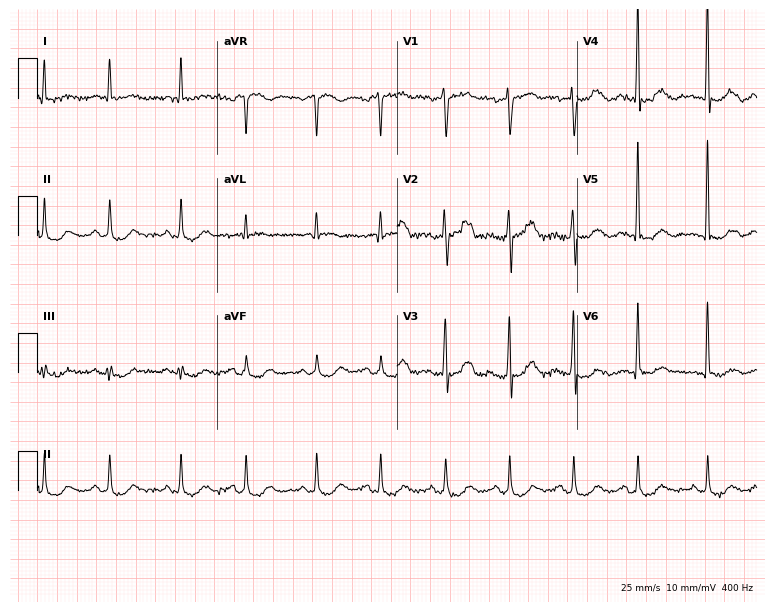
ECG (7.3-second recording at 400 Hz) — a male, 77 years old. Screened for six findings — first-degree AV block, right bundle branch block, left bundle branch block, sinus bradycardia, atrial fibrillation, sinus tachycardia — none is recorded. Other findings, if any, are not listed.